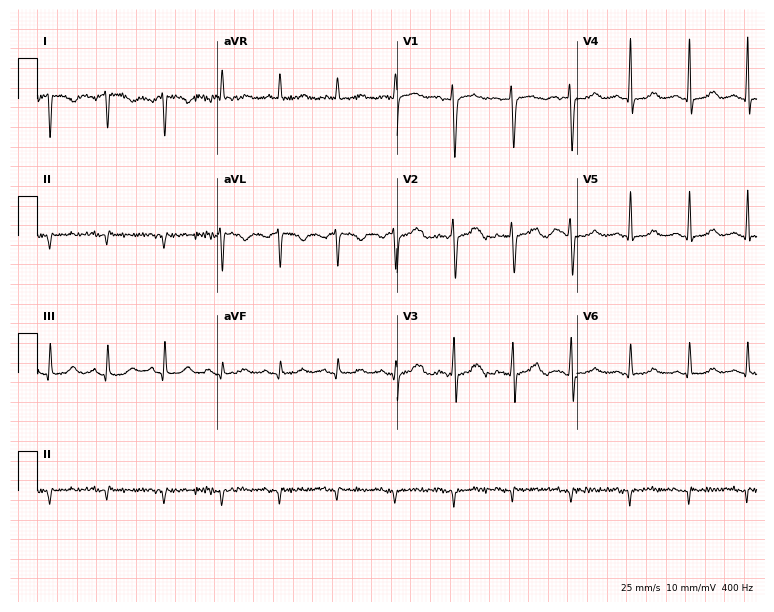
ECG — a woman, 46 years old. Screened for six findings — first-degree AV block, right bundle branch block (RBBB), left bundle branch block (LBBB), sinus bradycardia, atrial fibrillation (AF), sinus tachycardia — none is recorded.